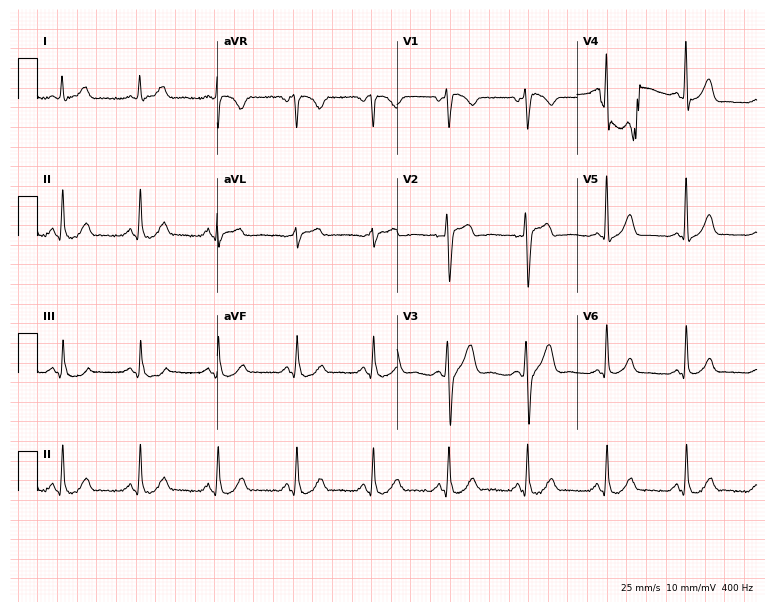
Standard 12-lead ECG recorded from a man, 43 years old (7.3-second recording at 400 Hz). None of these six findings is recorded: first-degree AV block, right bundle branch block (RBBB), left bundle branch block (LBBB), sinus bradycardia, atrial fibrillation (AF), sinus tachycardia.